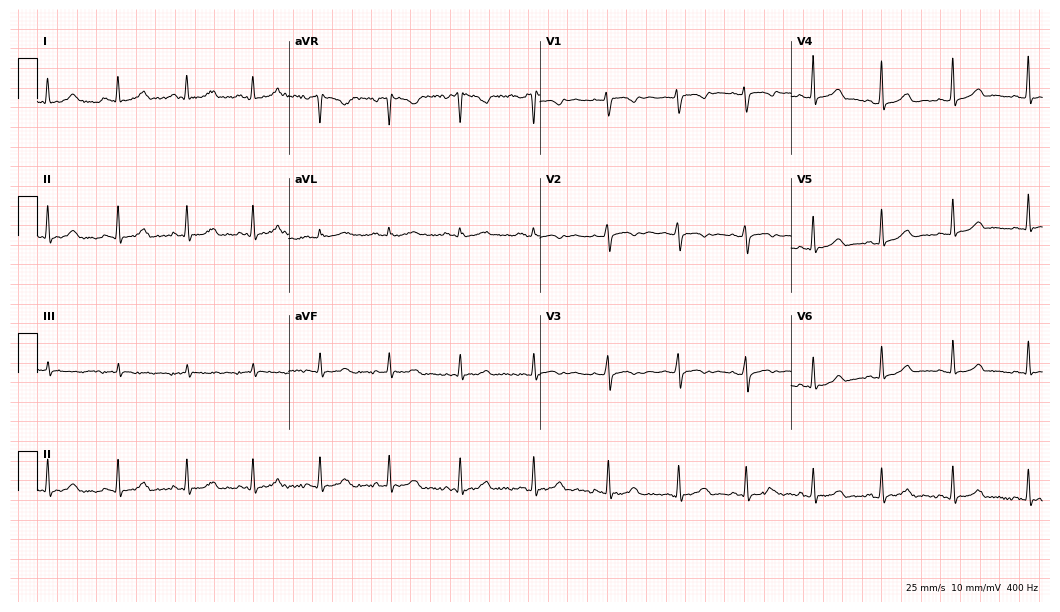
Resting 12-lead electrocardiogram. Patient: a 28-year-old female. Read as a normal ECG.